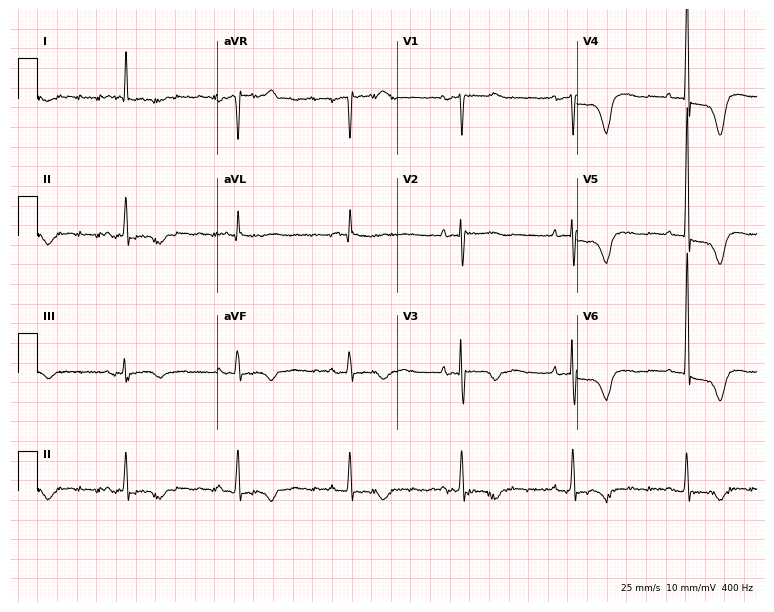
Standard 12-lead ECG recorded from a female, 79 years old (7.3-second recording at 400 Hz). None of these six findings is recorded: first-degree AV block, right bundle branch block, left bundle branch block, sinus bradycardia, atrial fibrillation, sinus tachycardia.